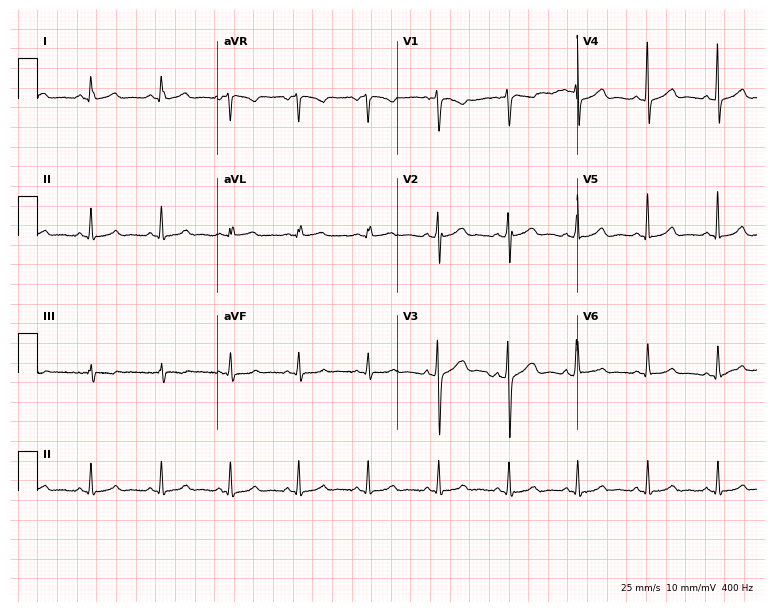
Electrocardiogram, a 31-year-old woman. Overall reading on record: normal ECG.